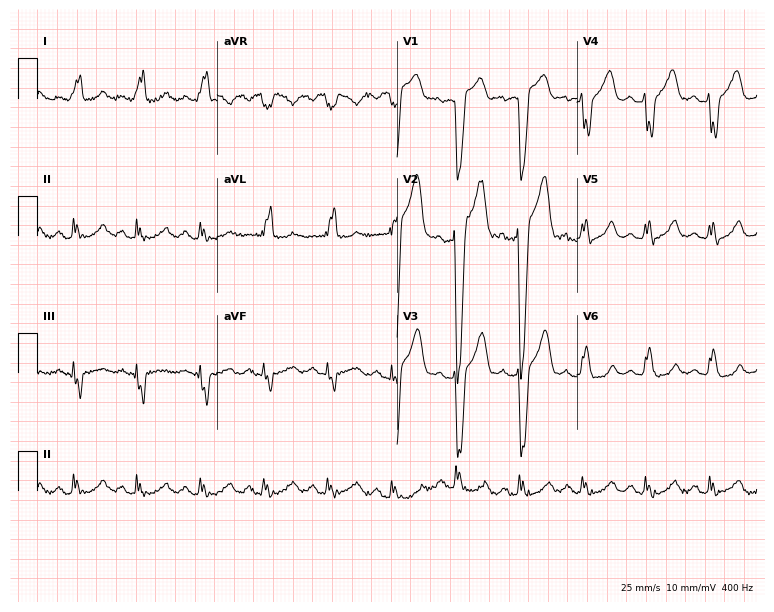
ECG — a 78-year-old male patient. Findings include left bundle branch block.